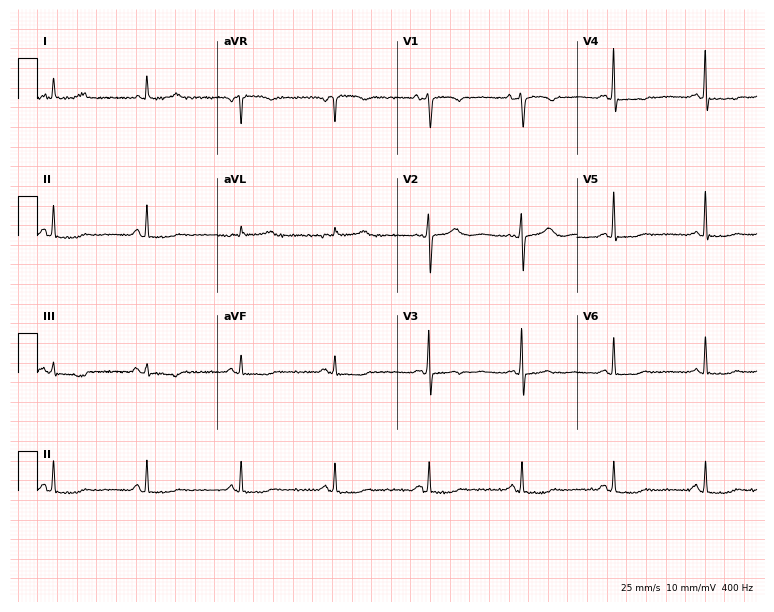
12-lead ECG (7.3-second recording at 400 Hz) from an 86-year-old female patient. Screened for six findings — first-degree AV block, right bundle branch block, left bundle branch block, sinus bradycardia, atrial fibrillation, sinus tachycardia — none is recorded.